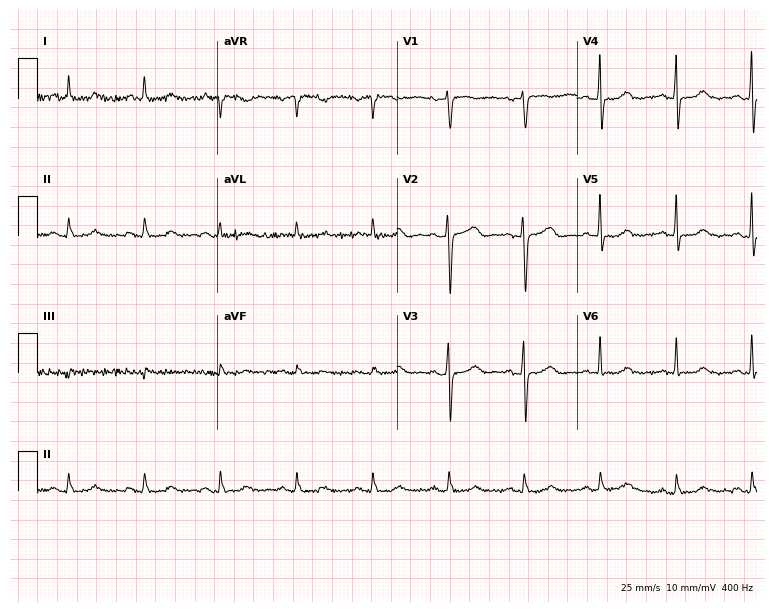
ECG — a female, 56 years old. Labelled as a normal ECG.